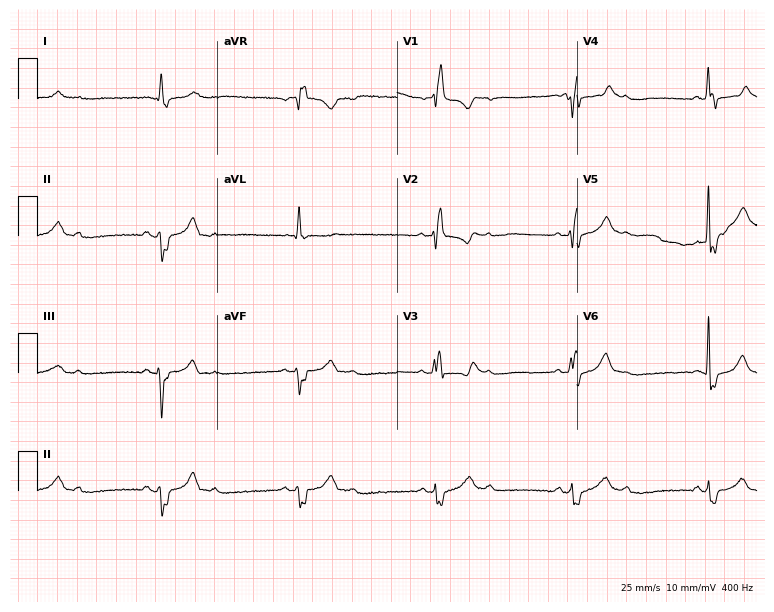
12-lead ECG from a 70-year-old man (7.3-second recording at 400 Hz). Shows right bundle branch block (RBBB), sinus bradycardia (a sinus rate of 50 beats per minute or less).